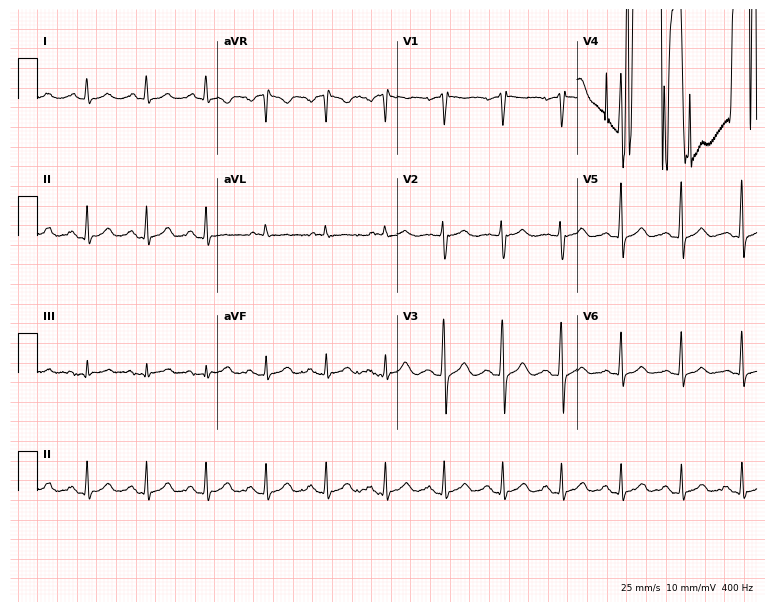
12-lead ECG from a 63-year-old man. No first-degree AV block, right bundle branch block, left bundle branch block, sinus bradycardia, atrial fibrillation or sinus tachycardia recorded for this tracing.